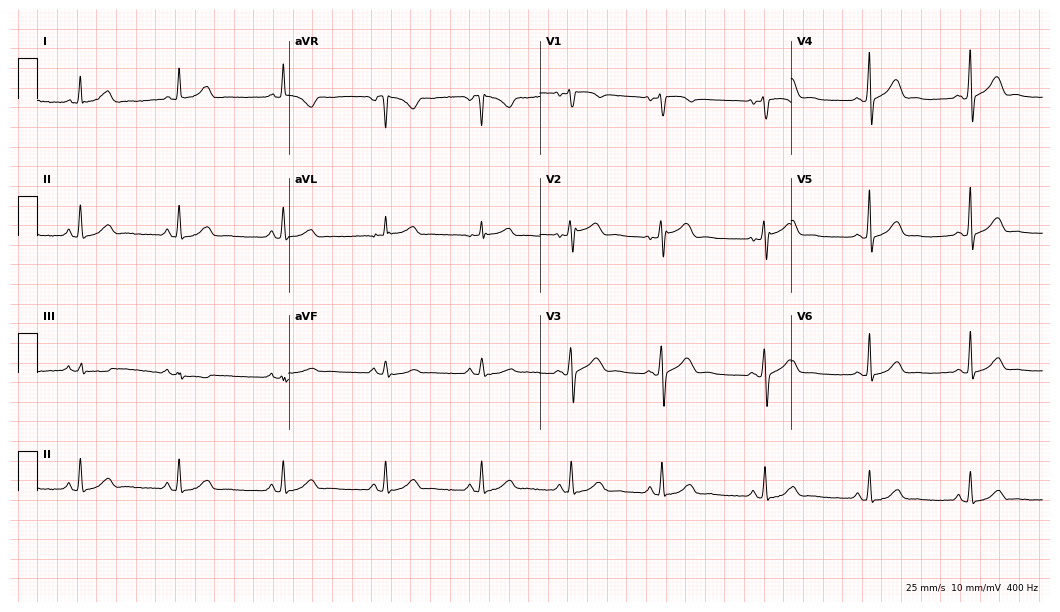
Standard 12-lead ECG recorded from a female, 44 years old (10.2-second recording at 400 Hz). Read as a normal ECG.